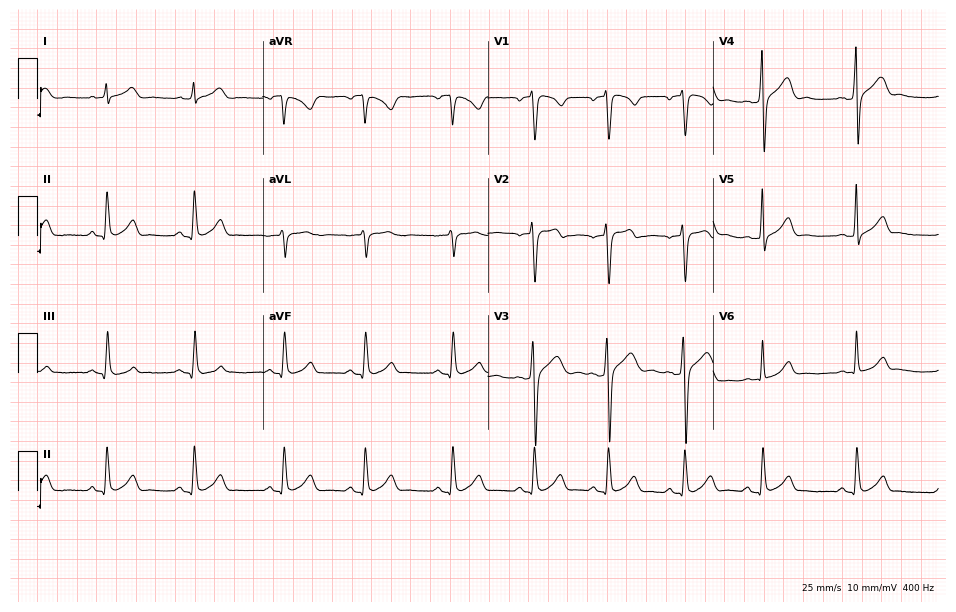
12-lead ECG (9.2-second recording at 400 Hz) from a 20-year-old male patient. Labelled as a normal ECG.